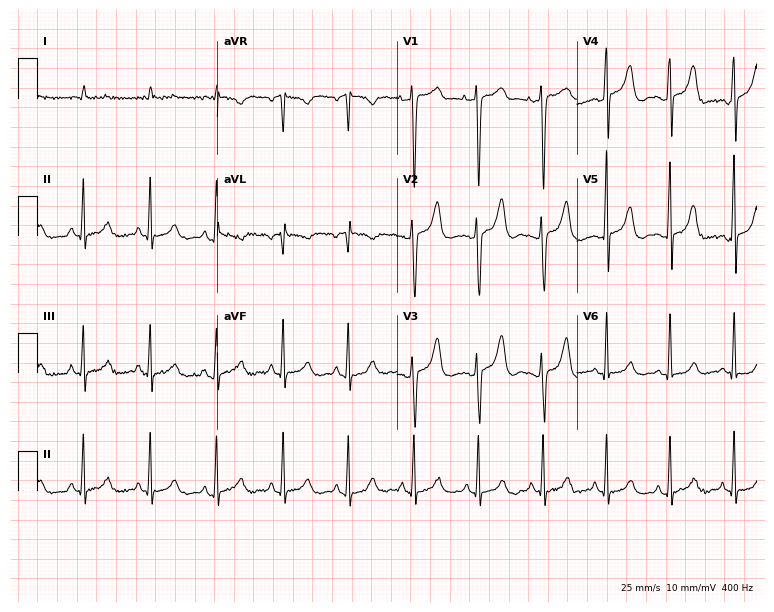
12-lead ECG (7.3-second recording at 400 Hz) from a 56-year-old man. Labelled as a normal ECG.